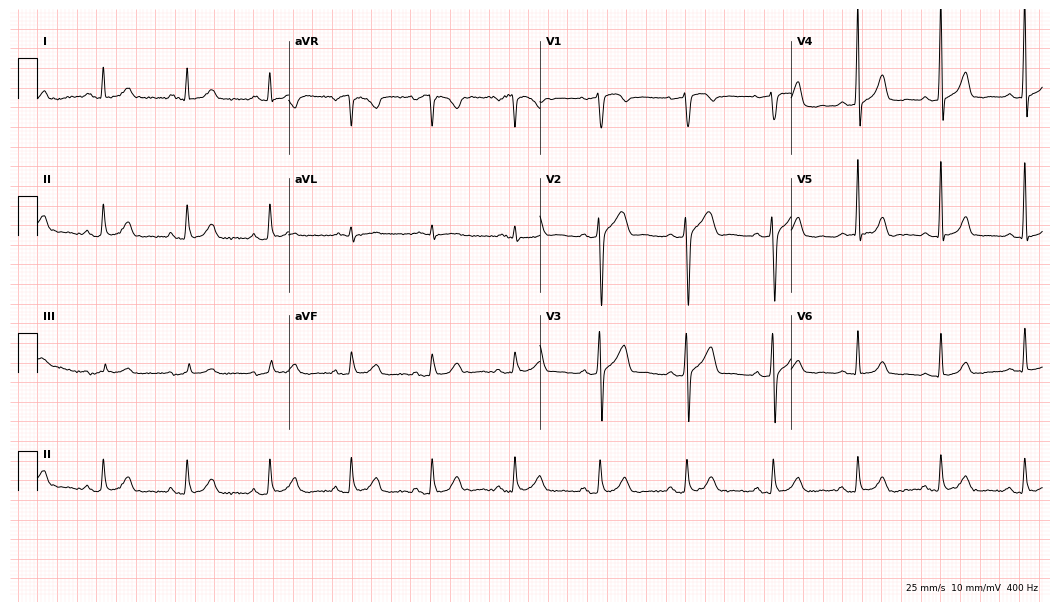
Electrocardiogram, a 62-year-old female patient. Overall reading on record: normal ECG.